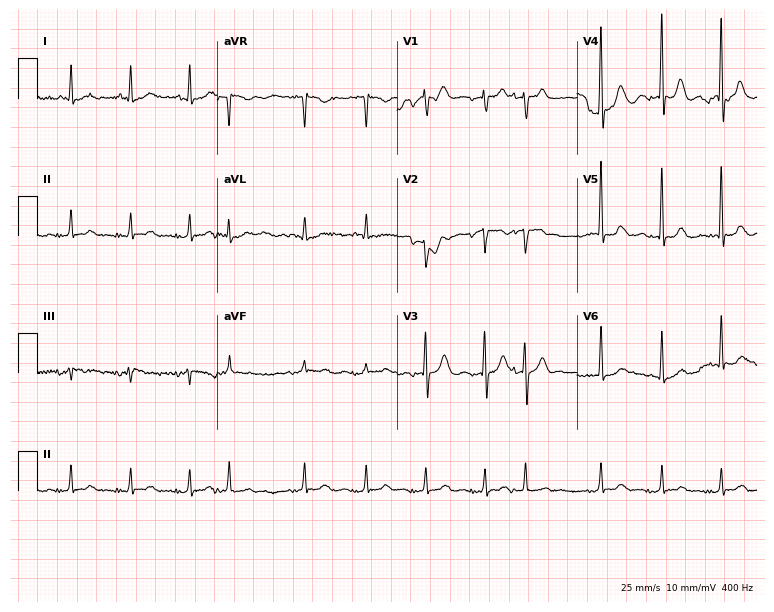
Resting 12-lead electrocardiogram (7.3-second recording at 400 Hz). Patient: a female, 84 years old. None of these six findings is recorded: first-degree AV block, right bundle branch block, left bundle branch block, sinus bradycardia, atrial fibrillation, sinus tachycardia.